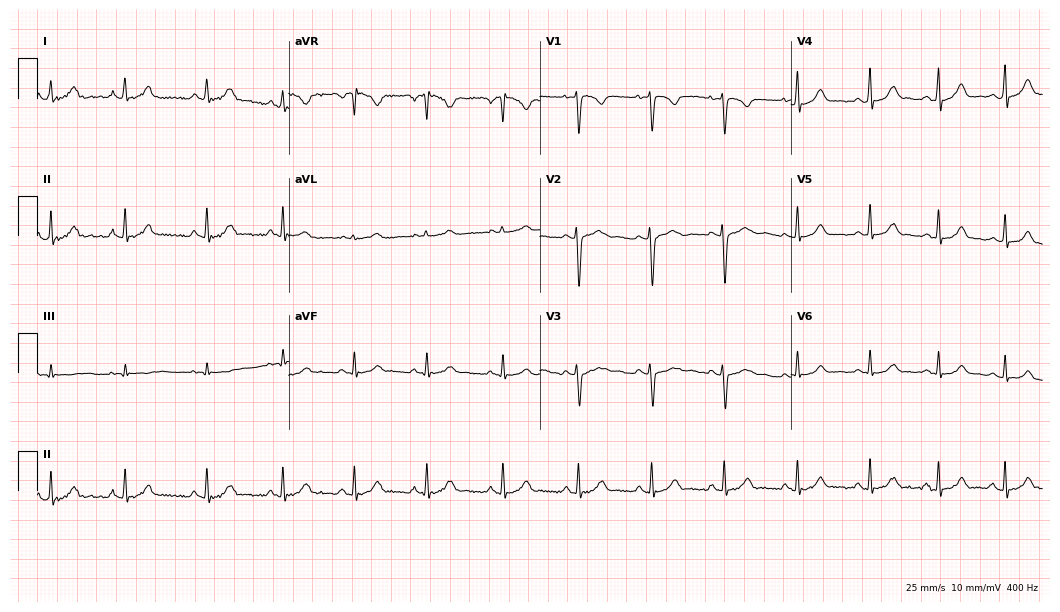
Resting 12-lead electrocardiogram (10.2-second recording at 400 Hz). Patient: a woman, 23 years old. None of these six findings is recorded: first-degree AV block, right bundle branch block, left bundle branch block, sinus bradycardia, atrial fibrillation, sinus tachycardia.